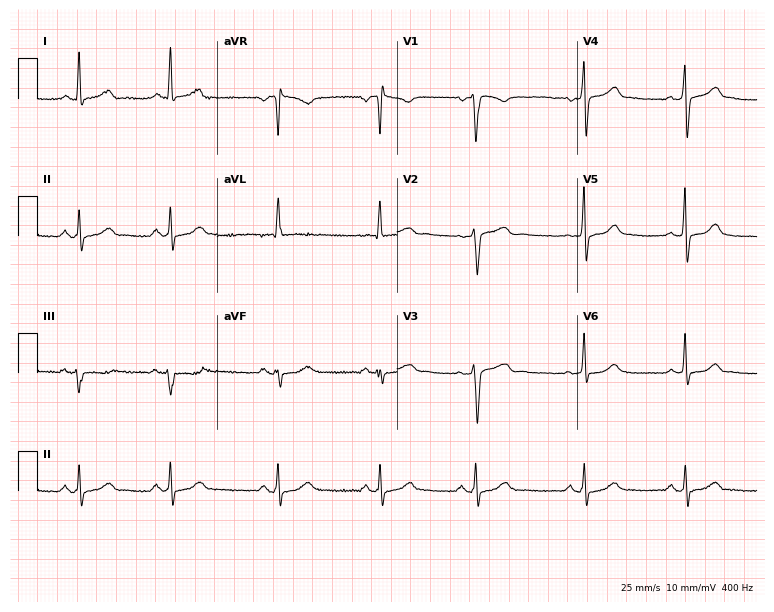
12-lead ECG from a woman, 48 years old (7.3-second recording at 400 Hz). No first-degree AV block, right bundle branch block, left bundle branch block, sinus bradycardia, atrial fibrillation or sinus tachycardia recorded for this tracing.